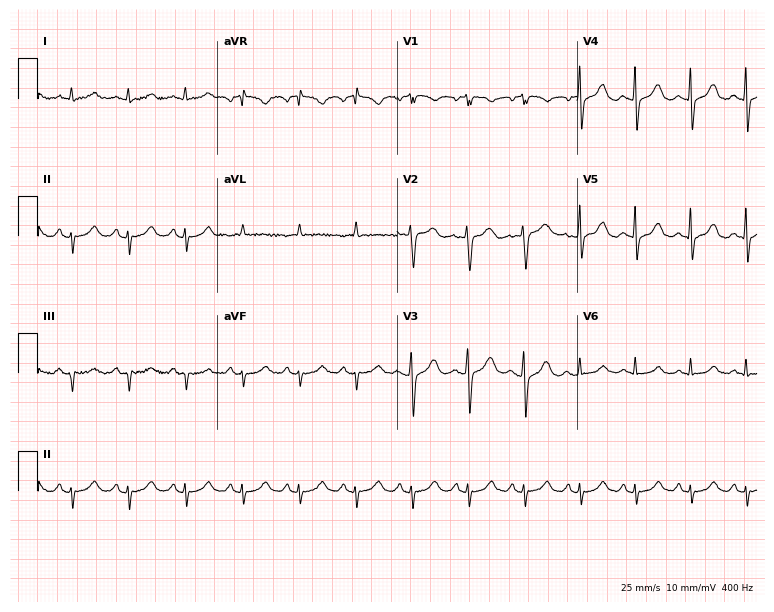
Resting 12-lead electrocardiogram (7.3-second recording at 400 Hz). Patient: a 55-year-old woman. The tracing shows sinus tachycardia (a sinus rate of 100 beats per minute or more).